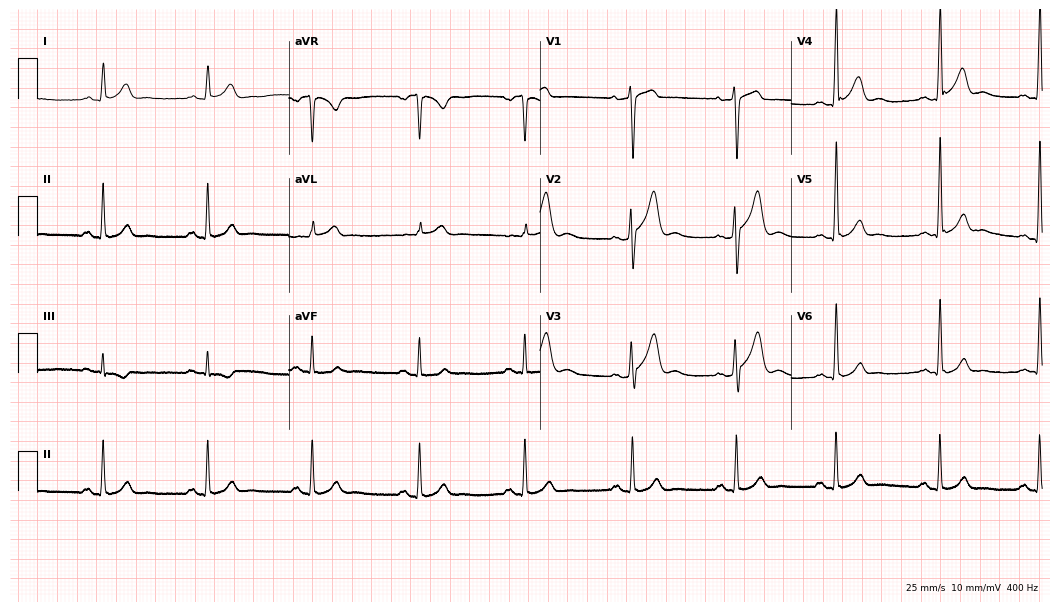
12-lead ECG from a male, 32 years old (10.2-second recording at 400 Hz). Recorded interpretation: within normal limits.